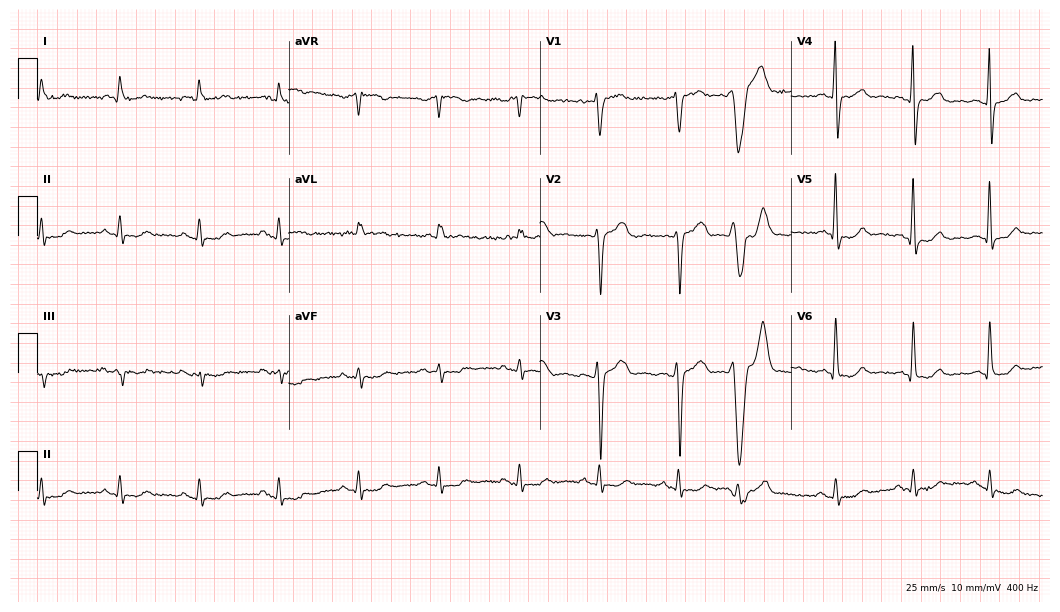
Standard 12-lead ECG recorded from a man, 77 years old. Read as a normal ECG.